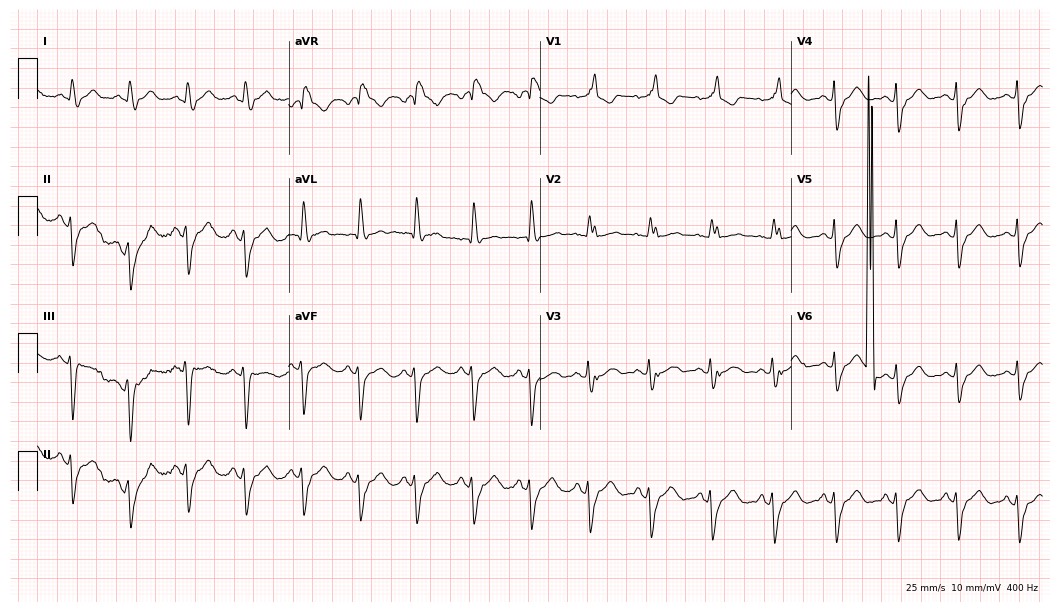
12-lead ECG from a female patient, 72 years old. Shows right bundle branch block, sinus tachycardia (a sinus rate of 100 beats per minute or more).